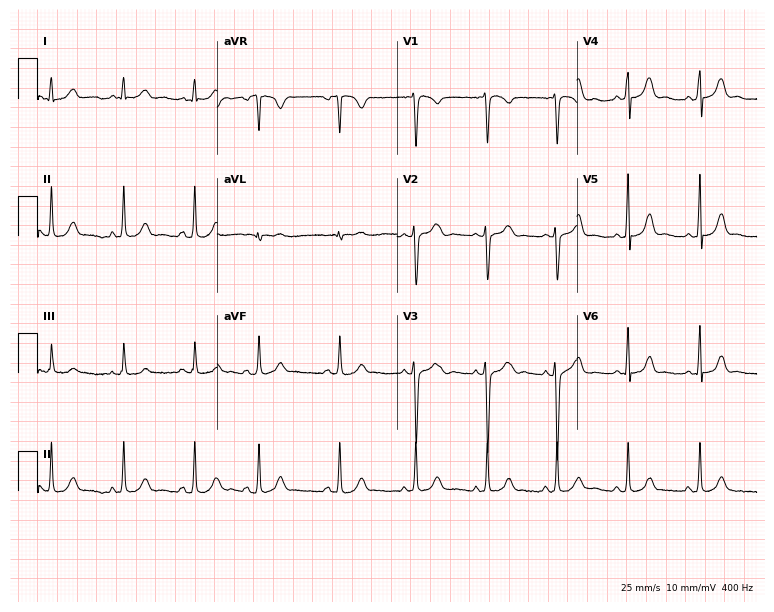
Standard 12-lead ECG recorded from a female, 23 years old. None of these six findings is recorded: first-degree AV block, right bundle branch block (RBBB), left bundle branch block (LBBB), sinus bradycardia, atrial fibrillation (AF), sinus tachycardia.